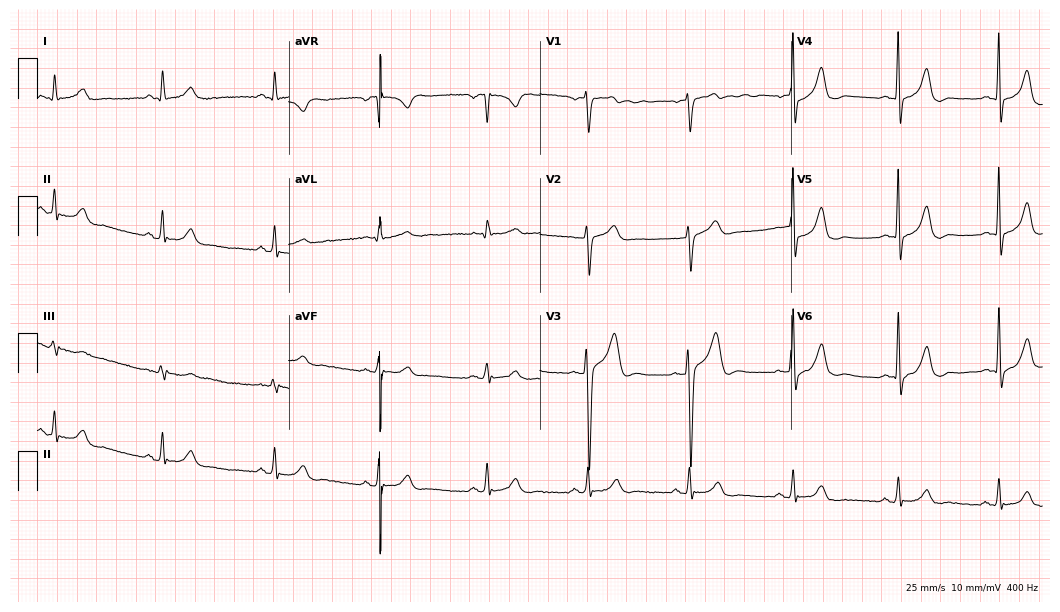
Electrocardiogram, a 51-year-old male. Of the six screened findings (first-degree AV block, right bundle branch block, left bundle branch block, sinus bradycardia, atrial fibrillation, sinus tachycardia), none is recorded. Only these six findings were labelled.